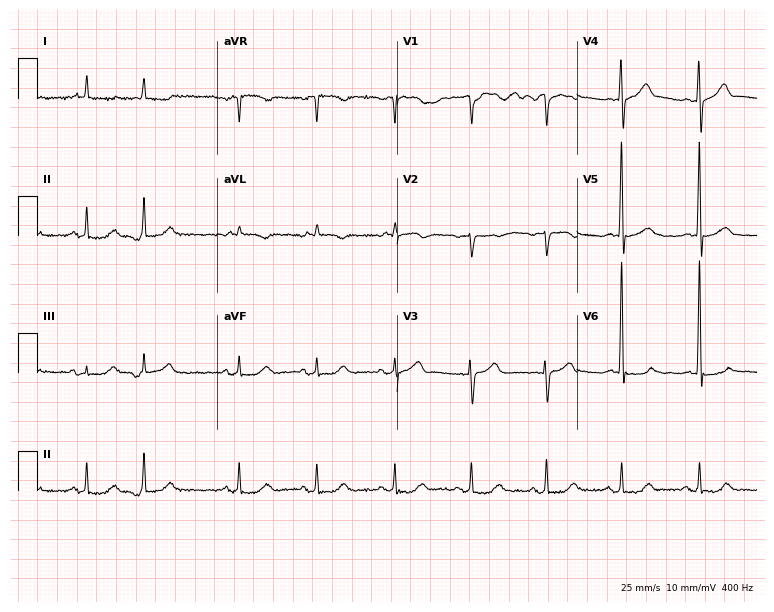
ECG — a male, 75 years old. Screened for six findings — first-degree AV block, right bundle branch block, left bundle branch block, sinus bradycardia, atrial fibrillation, sinus tachycardia — none is recorded. Only these six findings were labelled.